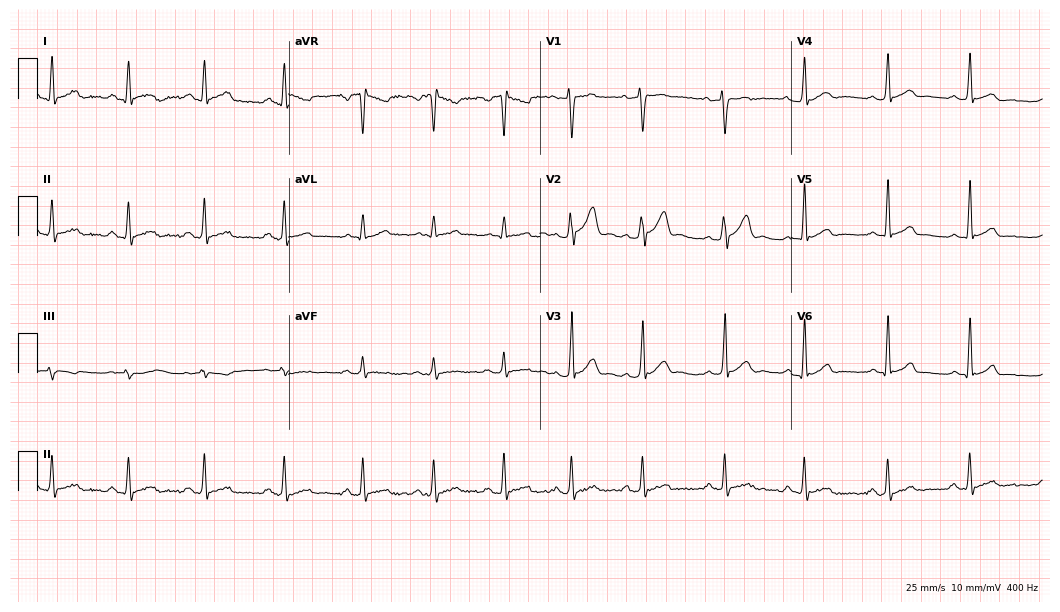
Electrocardiogram (10.2-second recording at 400 Hz), a male patient, 30 years old. Overall reading on record: normal ECG.